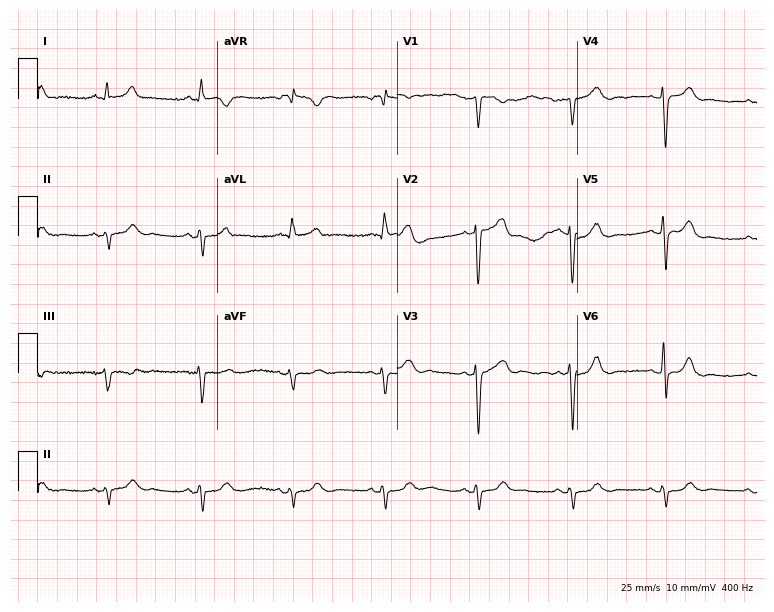
Standard 12-lead ECG recorded from a male patient, 60 years old (7.3-second recording at 400 Hz). None of these six findings is recorded: first-degree AV block, right bundle branch block (RBBB), left bundle branch block (LBBB), sinus bradycardia, atrial fibrillation (AF), sinus tachycardia. Findings outside these six are not listed.